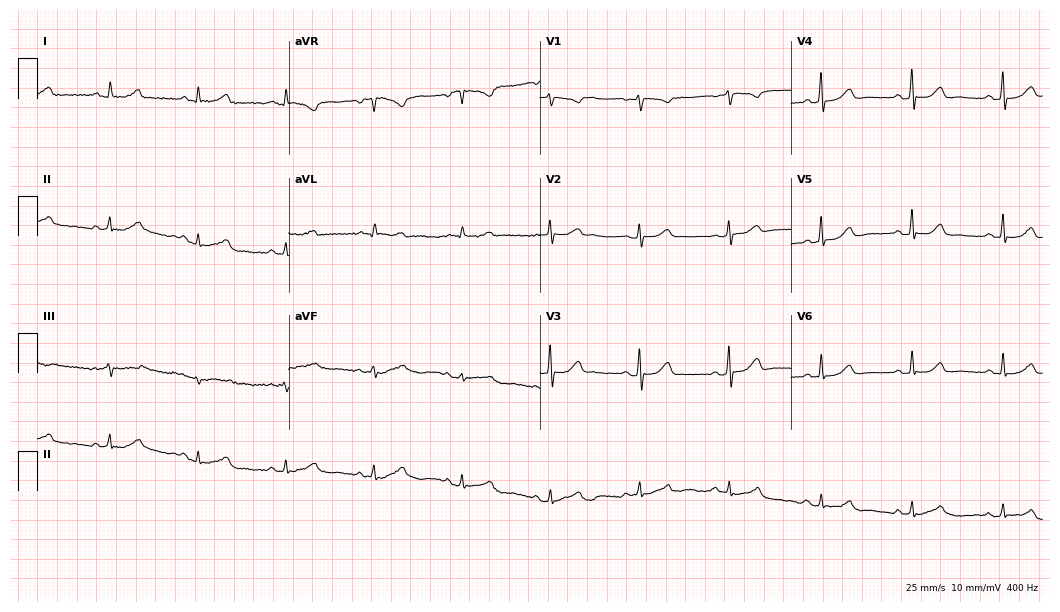
Standard 12-lead ECG recorded from a 70-year-old female. None of these six findings is recorded: first-degree AV block, right bundle branch block (RBBB), left bundle branch block (LBBB), sinus bradycardia, atrial fibrillation (AF), sinus tachycardia.